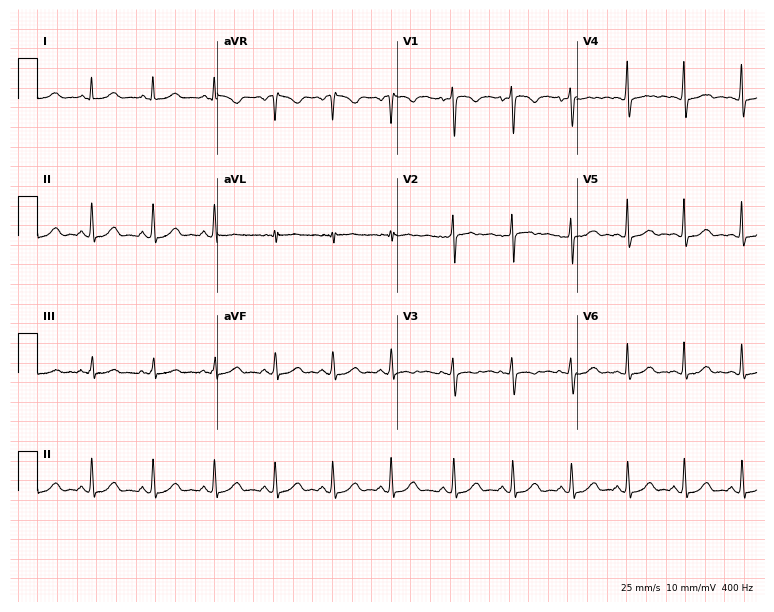
ECG (7.3-second recording at 400 Hz) — a 45-year-old female. Labelled as a normal ECG.